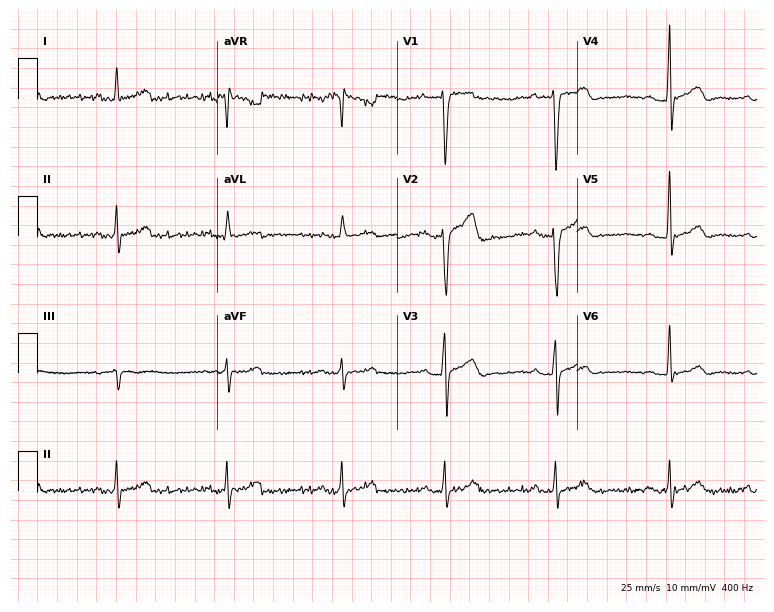
12-lead ECG from a male, 26 years old. Recorded interpretation: within normal limits.